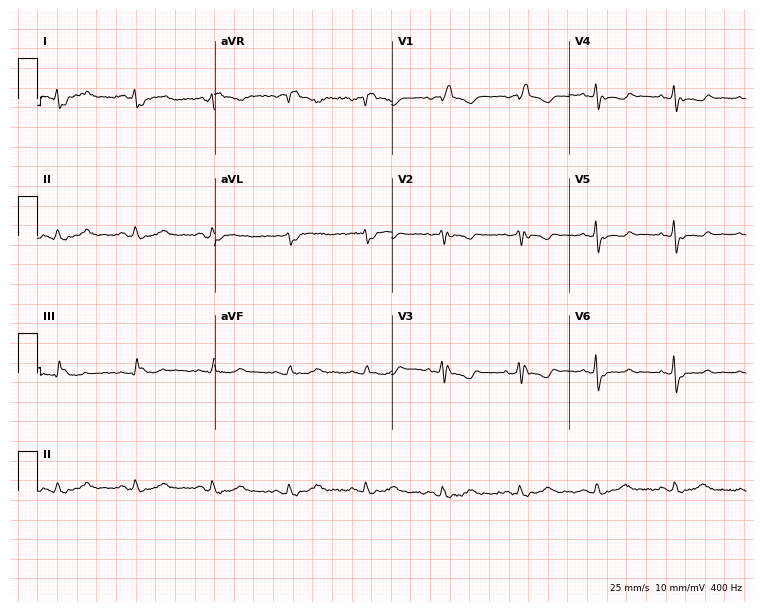
ECG — a female patient, 79 years old. Findings include right bundle branch block.